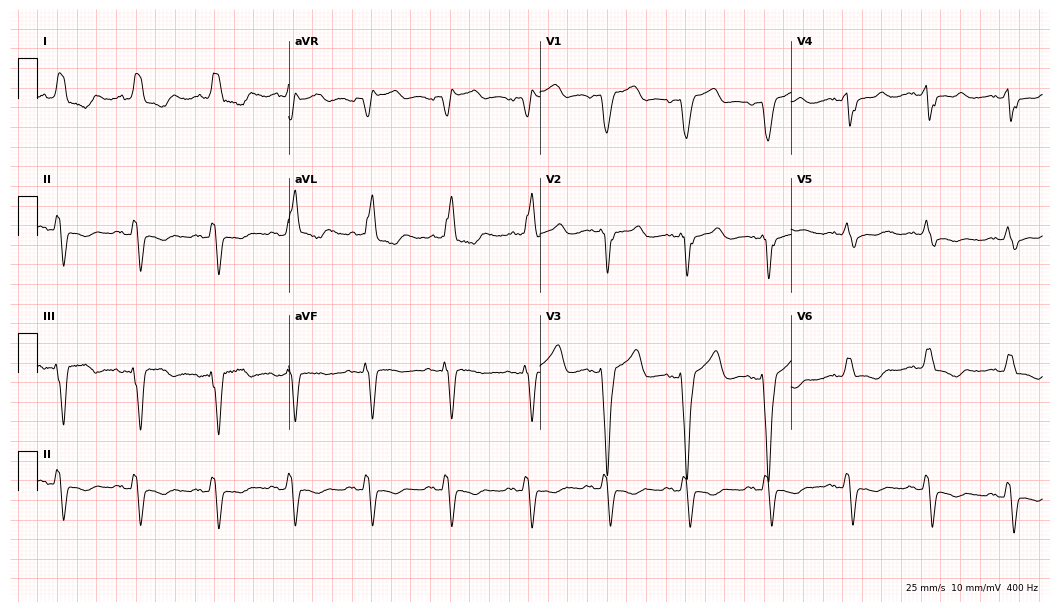
12-lead ECG from a female patient, 66 years old (10.2-second recording at 400 Hz). Shows left bundle branch block (LBBB).